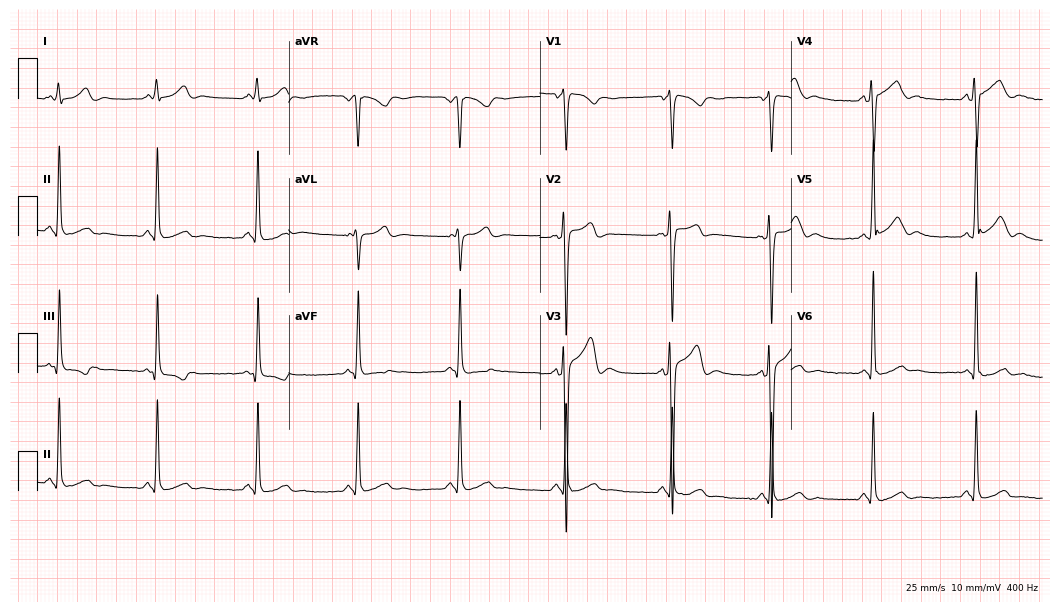
12-lead ECG from a man, 19 years old (10.2-second recording at 400 Hz). Recorded interpretation: within normal limits.